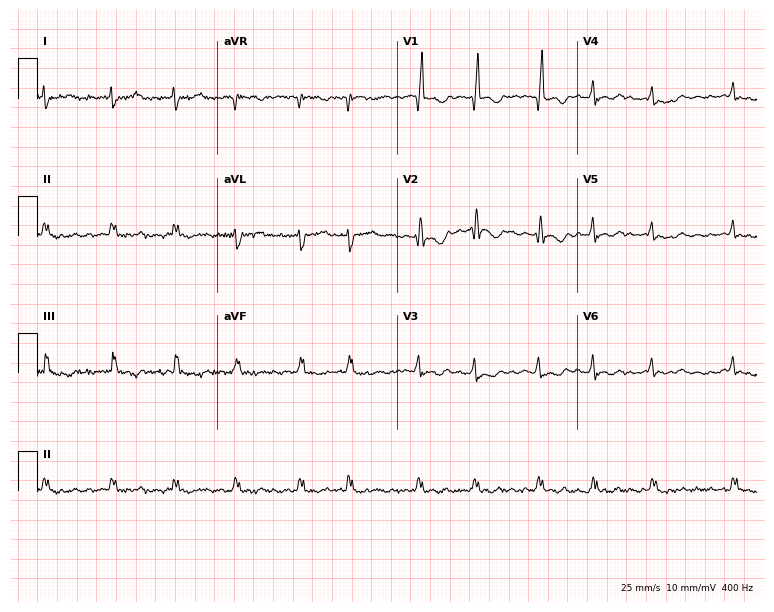
Electrocardiogram, a female, 80 years old. Of the six screened findings (first-degree AV block, right bundle branch block (RBBB), left bundle branch block (LBBB), sinus bradycardia, atrial fibrillation (AF), sinus tachycardia), none is recorded.